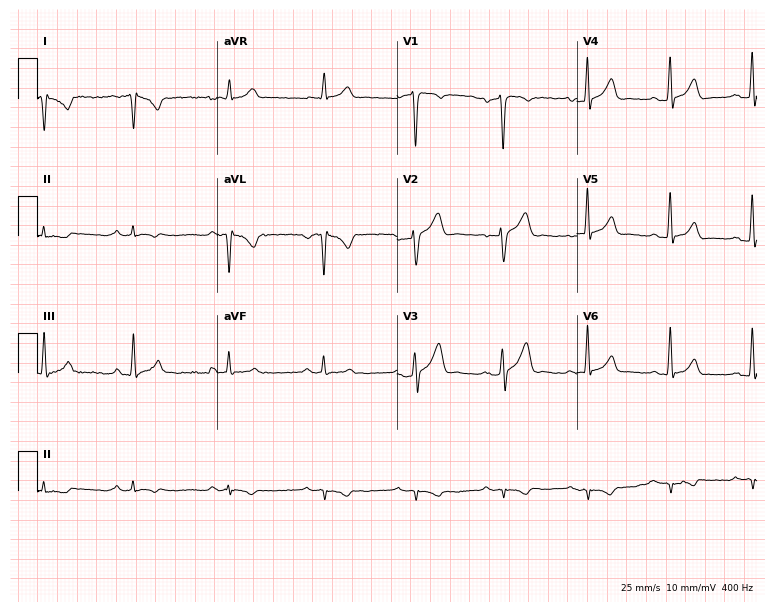
12-lead ECG from a 34-year-old male (7.3-second recording at 400 Hz). No first-degree AV block, right bundle branch block, left bundle branch block, sinus bradycardia, atrial fibrillation or sinus tachycardia recorded for this tracing.